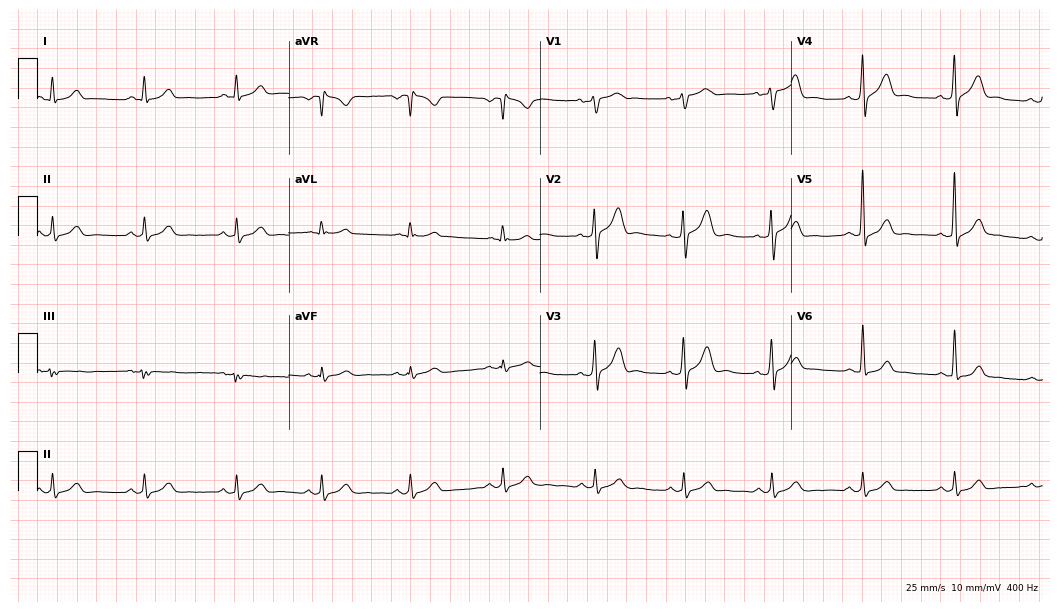
ECG (10.2-second recording at 400 Hz) — a male patient, 40 years old. Labelled as a normal ECG.